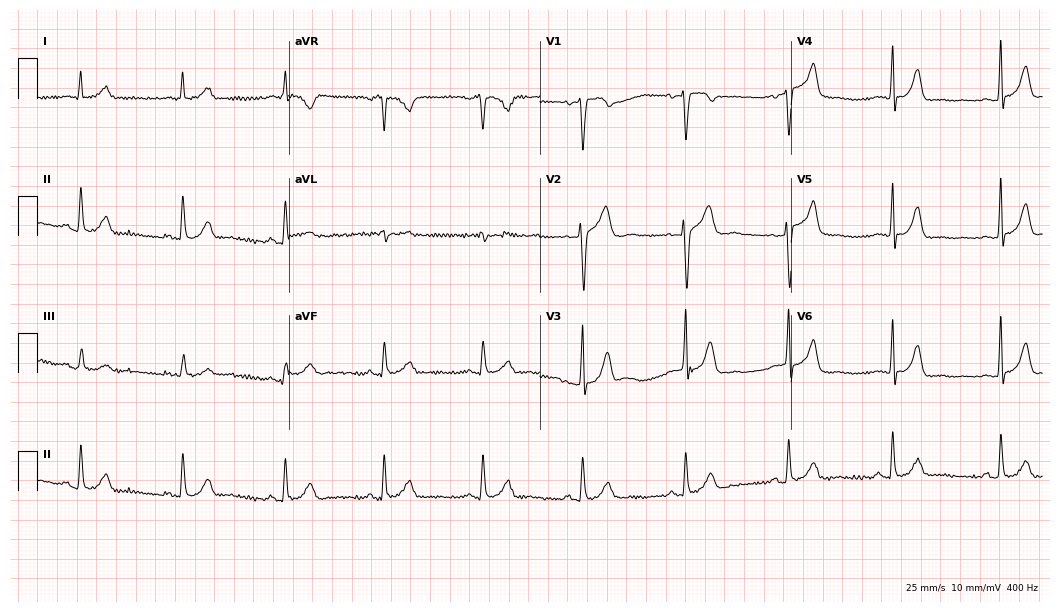
ECG — a male patient, 43 years old. Labelled as a normal ECG.